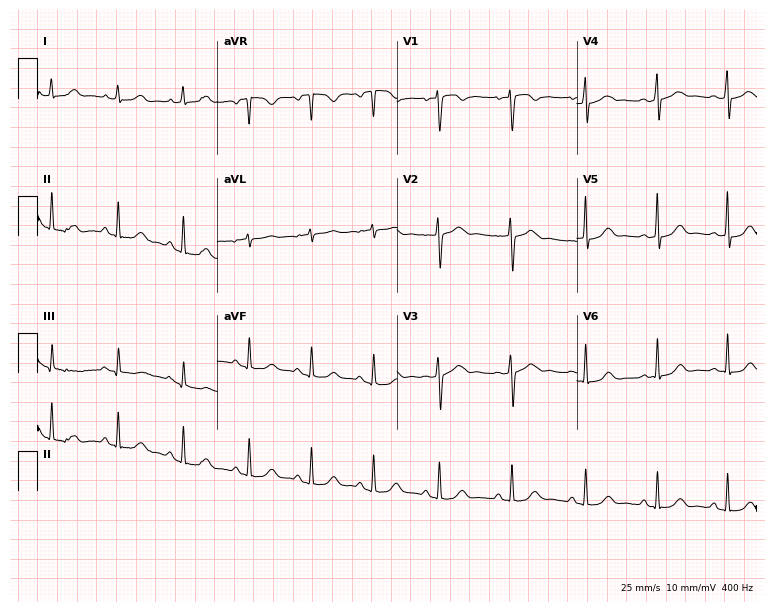
ECG — a female, 47 years old. Screened for six findings — first-degree AV block, right bundle branch block (RBBB), left bundle branch block (LBBB), sinus bradycardia, atrial fibrillation (AF), sinus tachycardia — none is recorded. Only these six findings were labelled.